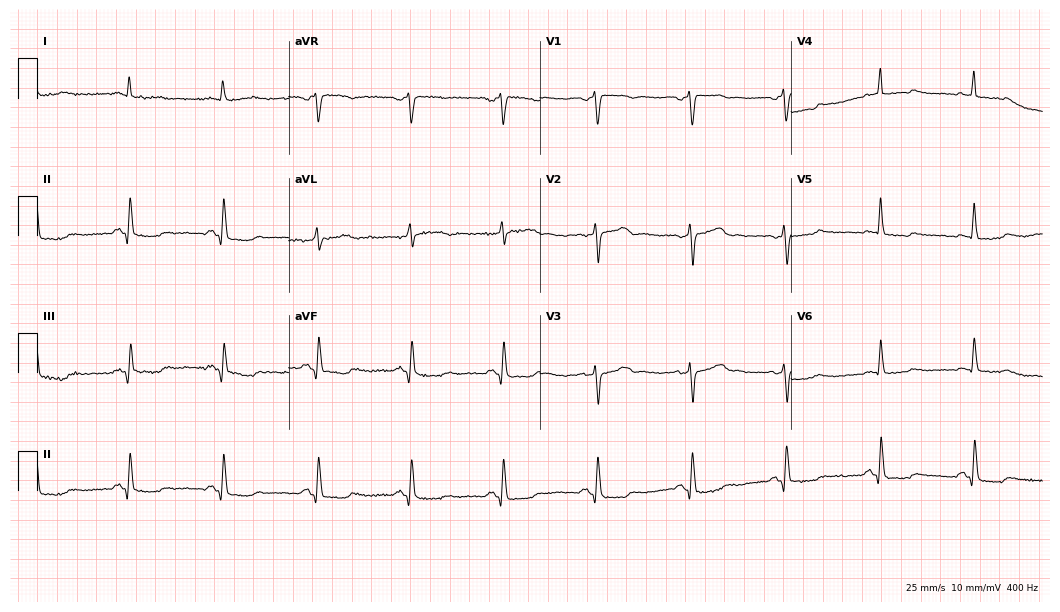
Standard 12-lead ECG recorded from a man, 71 years old (10.2-second recording at 400 Hz). Read as a normal ECG.